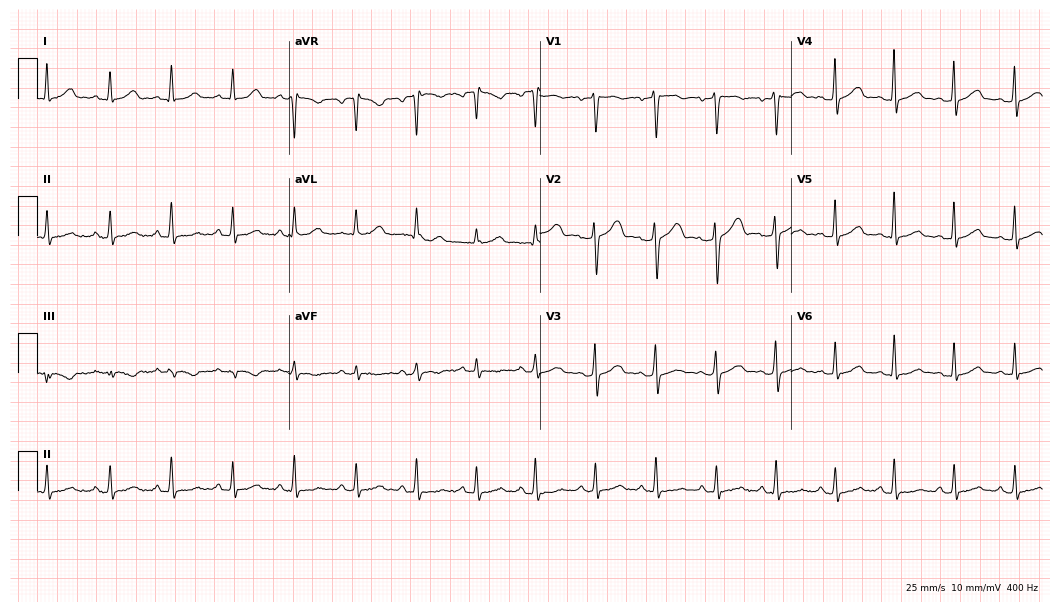
12-lead ECG (10.2-second recording at 400 Hz) from a female patient, 37 years old. Screened for six findings — first-degree AV block, right bundle branch block, left bundle branch block, sinus bradycardia, atrial fibrillation, sinus tachycardia — none is recorded.